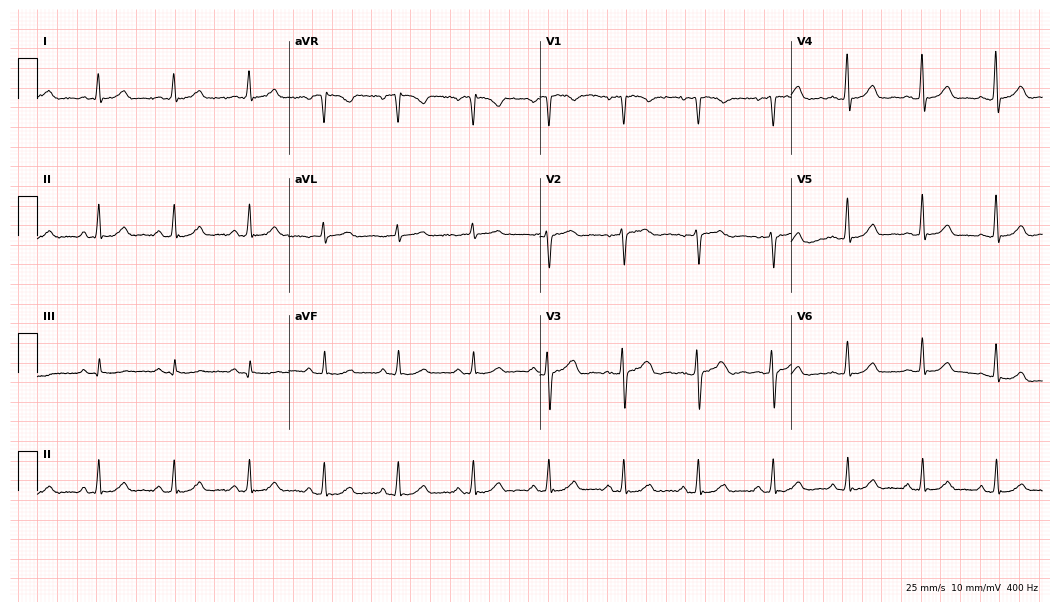
12-lead ECG from a 77-year-old man. Labelled as a normal ECG.